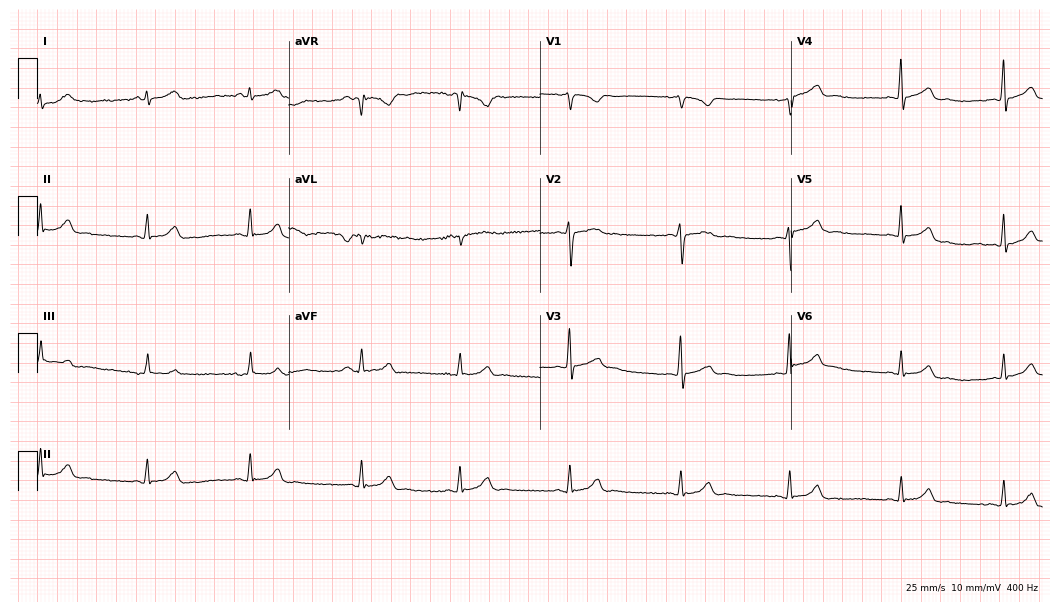
Standard 12-lead ECG recorded from a 21-year-old female patient (10.2-second recording at 400 Hz). Read as a normal ECG.